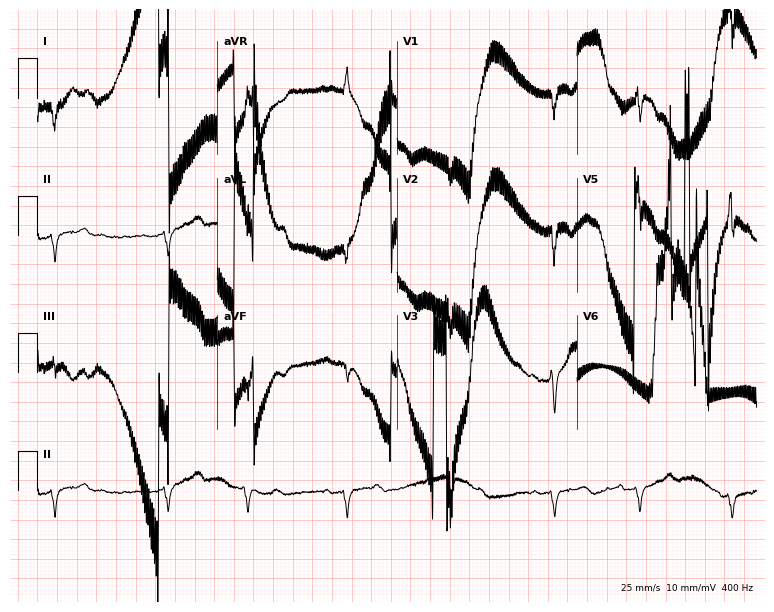
Resting 12-lead electrocardiogram. Patient: a 78-year-old female. None of these six findings is recorded: first-degree AV block, right bundle branch block, left bundle branch block, sinus bradycardia, atrial fibrillation, sinus tachycardia.